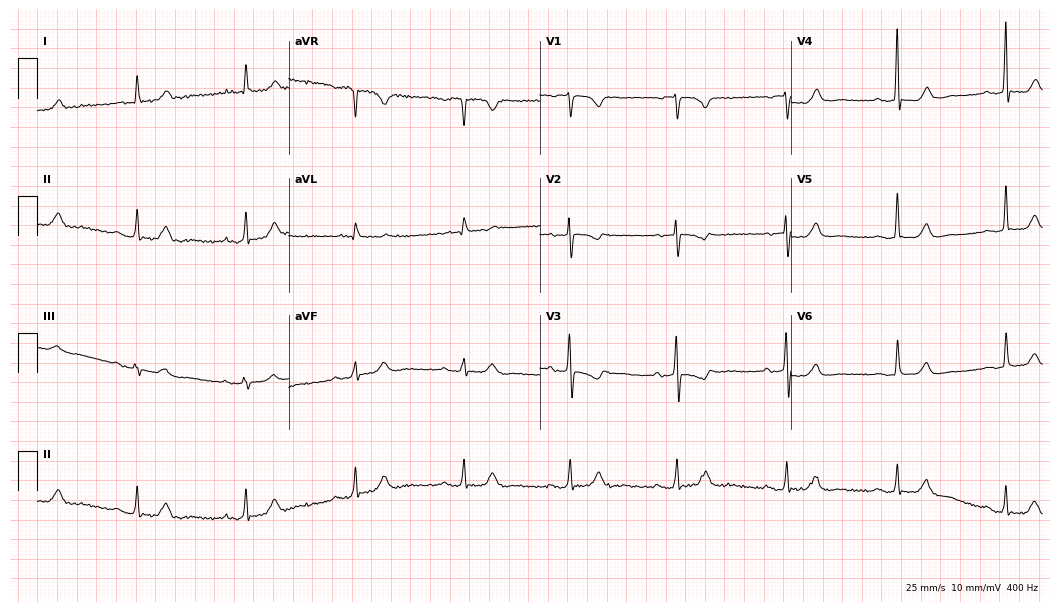
Standard 12-lead ECG recorded from a woman, 77 years old (10.2-second recording at 400 Hz). None of these six findings is recorded: first-degree AV block, right bundle branch block, left bundle branch block, sinus bradycardia, atrial fibrillation, sinus tachycardia. Other findings, if any, are not listed.